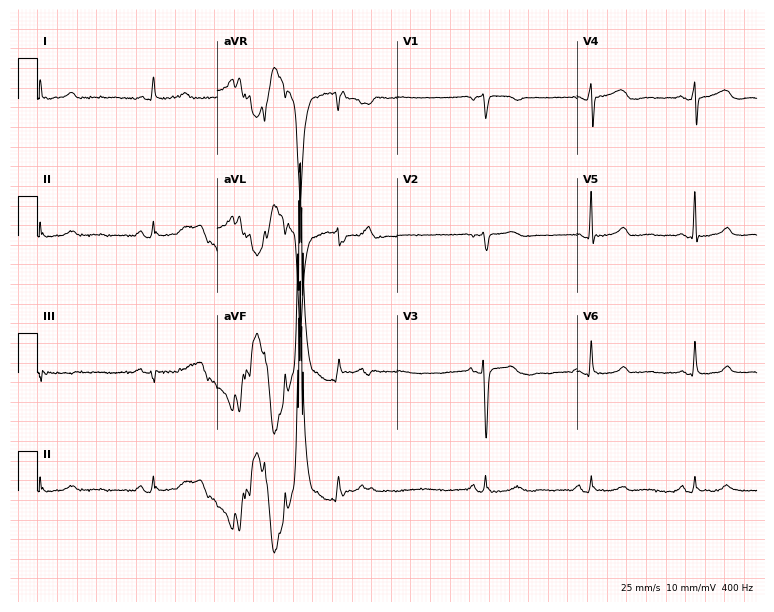
Electrocardiogram (7.3-second recording at 400 Hz), a 51-year-old female patient. Of the six screened findings (first-degree AV block, right bundle branch block (RBBB), left bundle branch block (LBBB), sinus bradycardia, atrial fibrillation (AF), sinus tachycardia), none is recorded. Only these six findings were labelled.